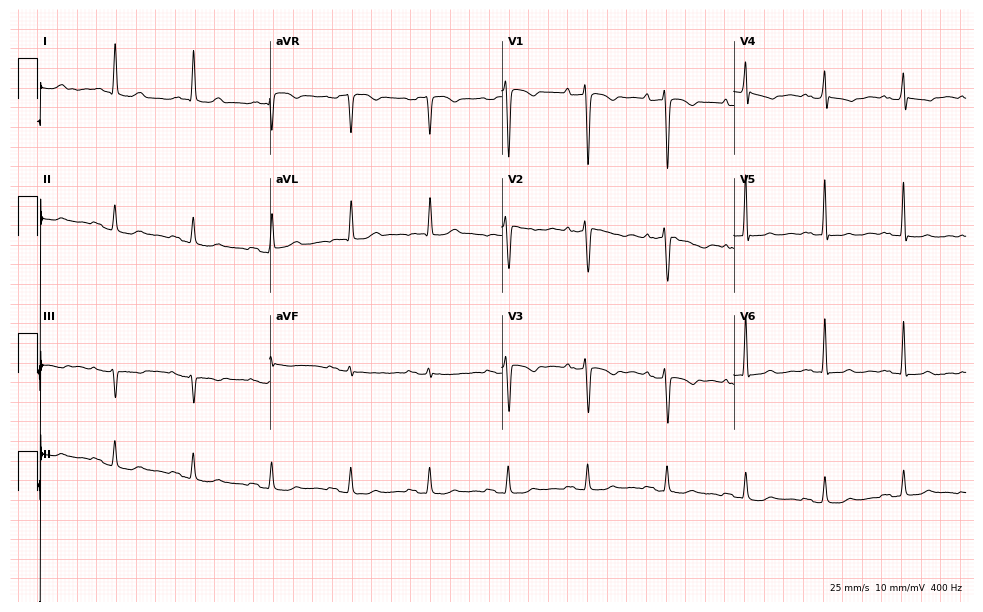
ECG — a female, 82 years old. Screened for six findings — first-degree AV block, right bundle branch block, left bundle branch block, sinus bradycardia, atrial fibrillation, sinus tachycardia — none is recorded.